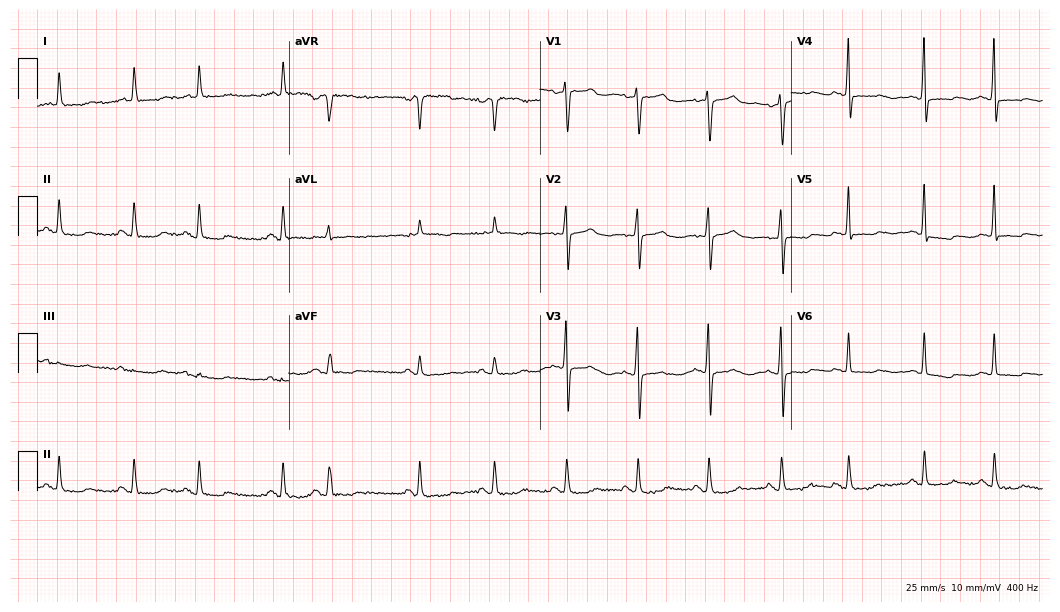
12-lead ECG from a 68-year-old woman. No first-degree AV block, right bundle branch block (RBBB), left bundle branch block (LBBB), sinus bradycardia, atrial fibrillation (AF) or sinus tachycardia recorded for this tracing. Findings outside these six are not listed.